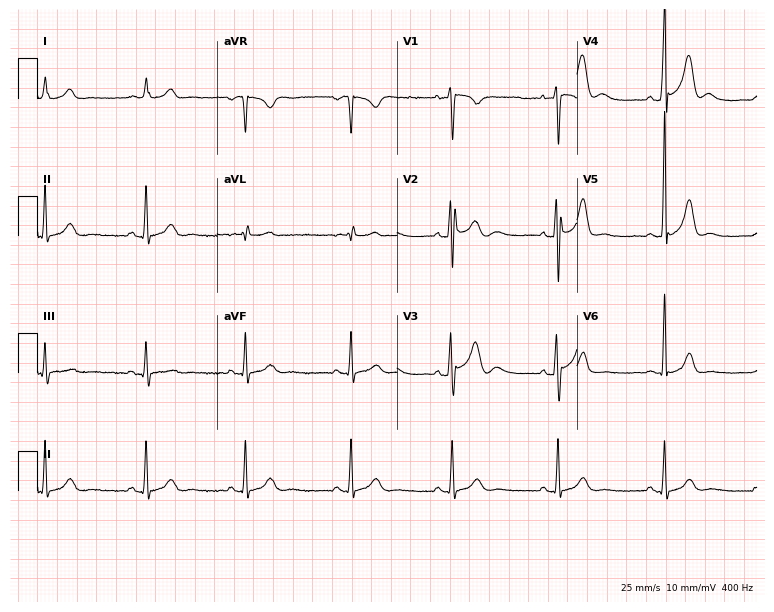
Electrocardiogram, a man, 21 years old. Of the six screened findings (first-degree AV block, right bundle branch block (RBBB), left bundle branch block (LBBB), sinus bradycardia, atrial fibrillation (AF), sinus tachycardia), none is recorded. Other findings, if any, are not listed.